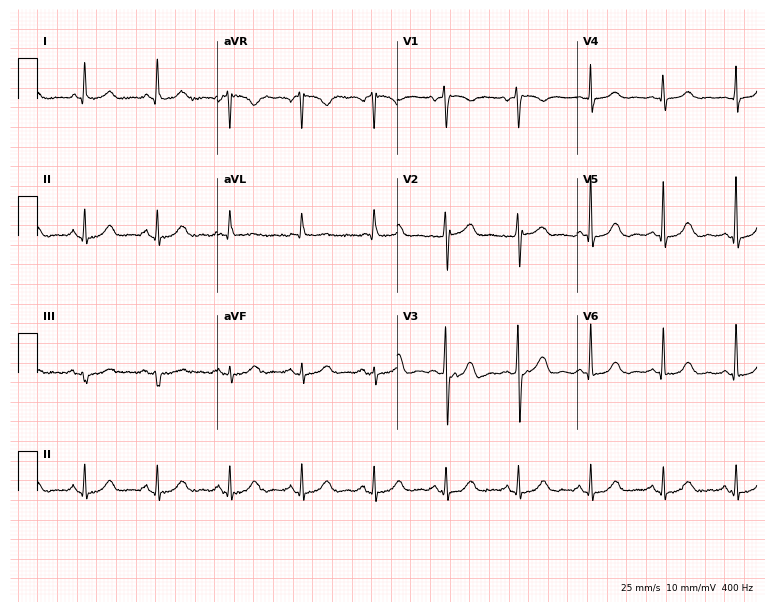
Electrocardiogram, a 76-year-old male patient. Of the six screened findings (first-degree AV block, right bundle branch block, left bundle branch block, sinus bradycardia, atrial fibrillation, sinus tachycardia), none is recorded. Findings outside these six are not listed.